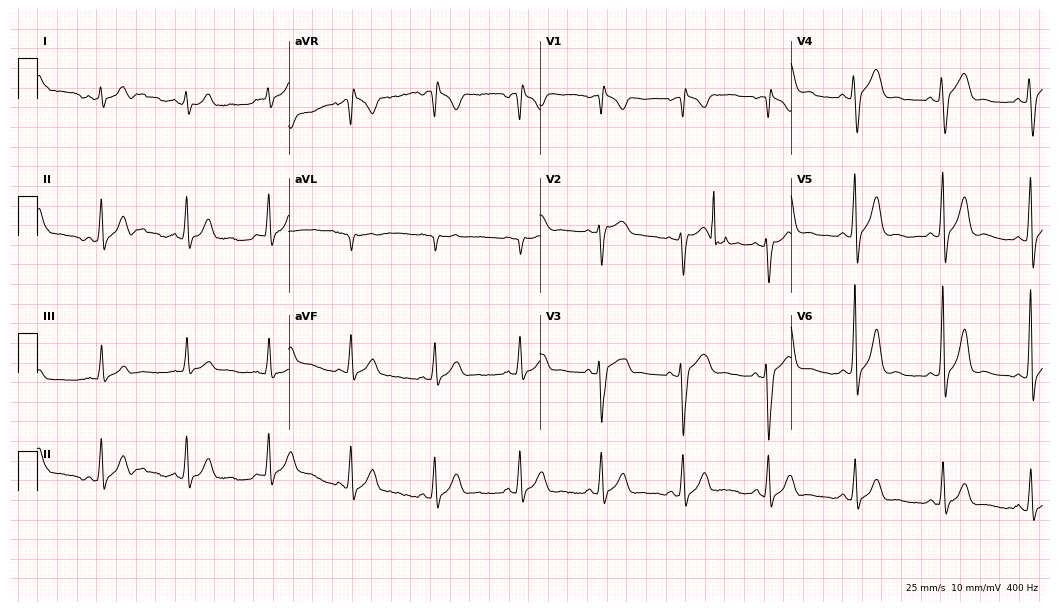
Resting 12-lead electrocardiogram. Patient: a male, 40 years old. None of these six findings is recorded: first-degree AV block, right bundle branch block (RBBB), left bundle branch block (LBBB), sinus bradycardia, atrial fibrillation (AF), sinus tachycardia. Other findings, if any, are not listed.